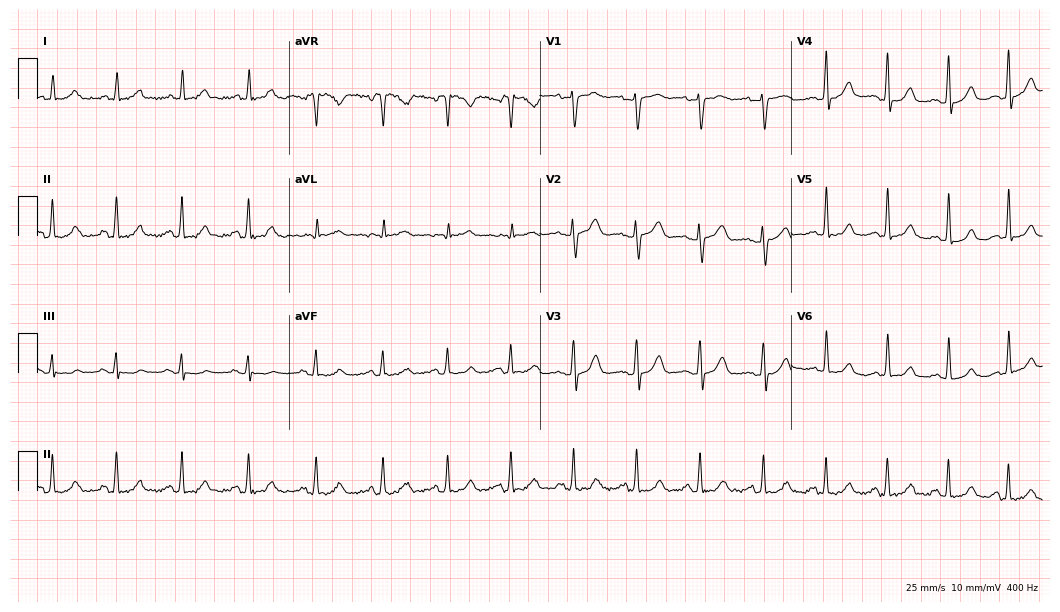
12-lead ECG from a female patient, 44 years old. Recorded interpretation: within normal limits.